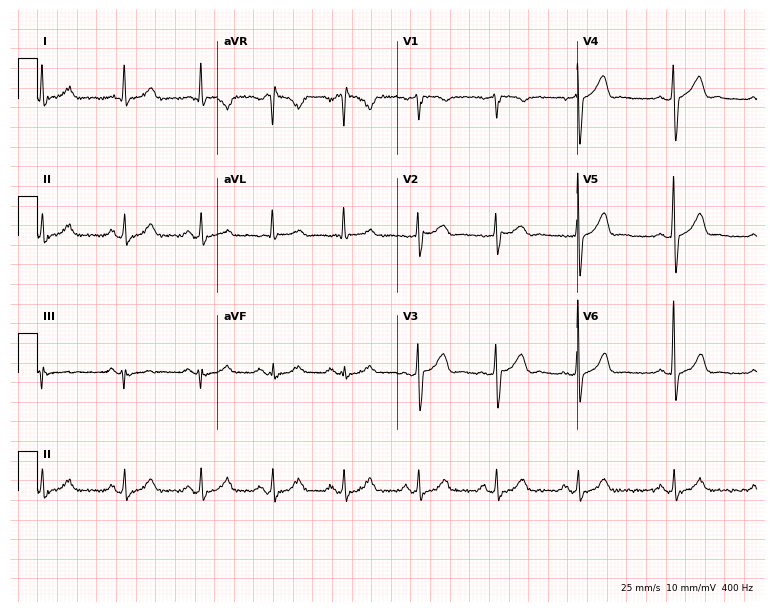
ECG — a 60-year-old man. Labelled as a normal ECG.